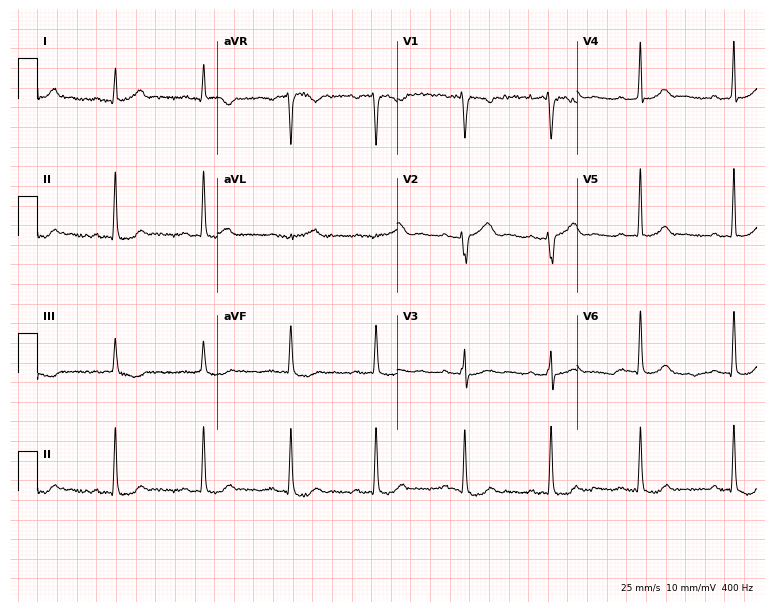
ECG — a female patient, 44 years old. Labelled as a normal ECG.